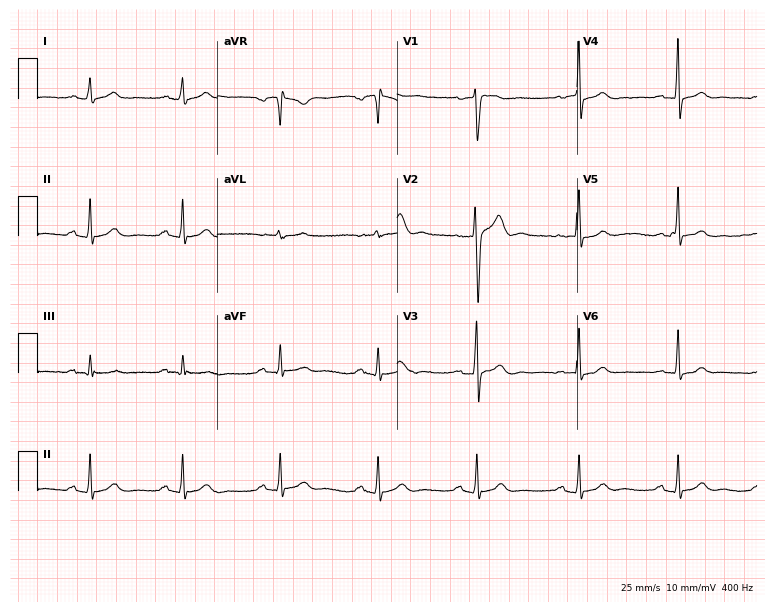
Standard 12-lead ECG recorded from a man, 37 years old. Read as a normal ECG.